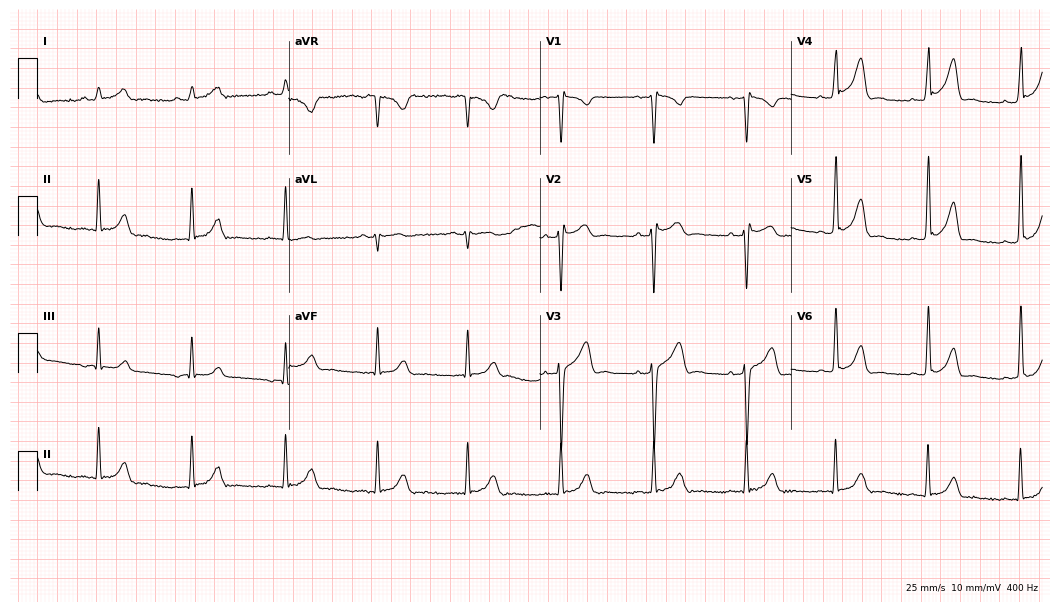
12-lead ECG from a male patient, 41 years old. No first-degree AV block, right bundle branch block, left bundle branch block, sinus bradycardia, atrial fibrillation or sinus tachycardia recorded for this tracing. Other findings, if any, are not listed.